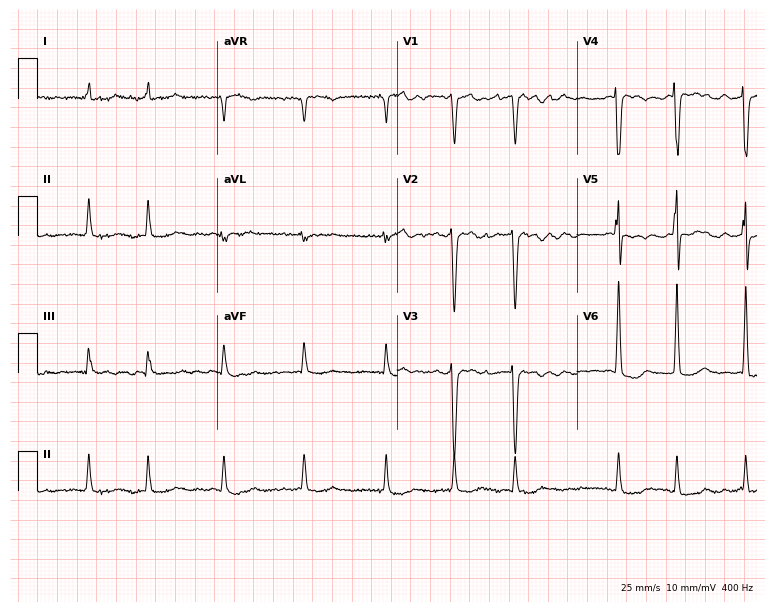
ECG — a female patient, 69 years old. Findings include atrial fibrillation (AF).